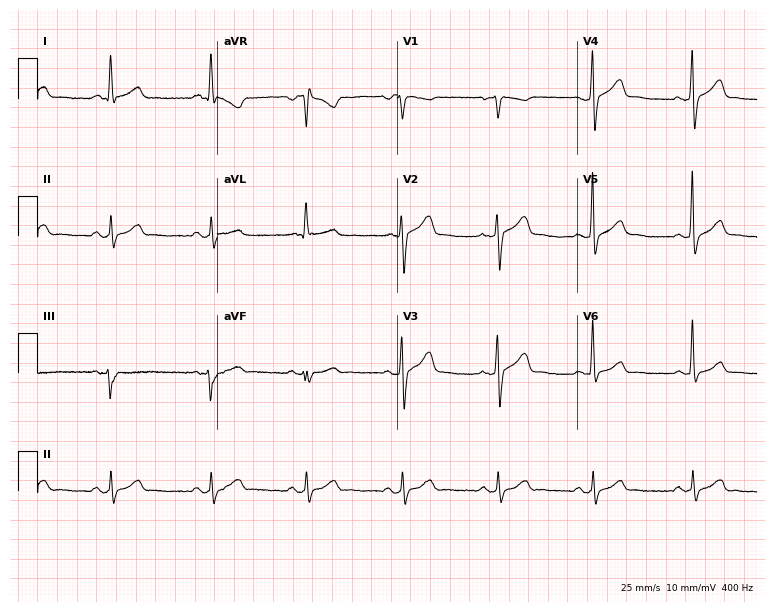
Resting 12-lead electrocardiogram (7.3-second recording at 400 Hz). Patient: a 53-year-old female. Read as a normal ECG.